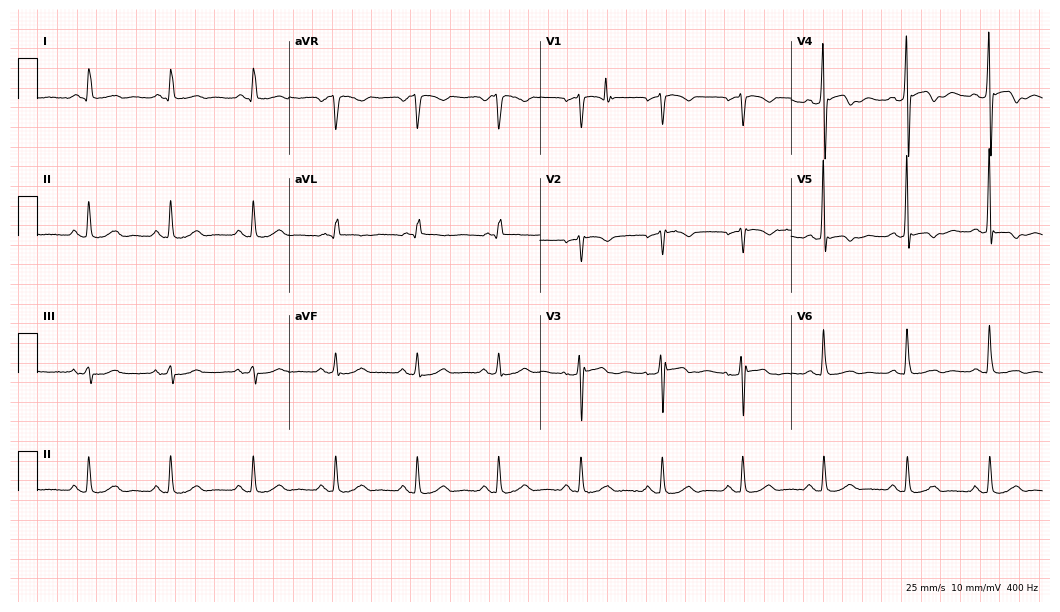
Resting 12-lead electrocardiogram (10.2-second recording at 400 Hz). Patient: a 62-year-old man. None of these six findings is recorded: first-degree AV block, right bundle branch block (RBBB), left bundle branch block (LBBB), sinus bradycardia, atrial fibrillation (AF), sinus tachycardia. Findings outside these six are not listed.